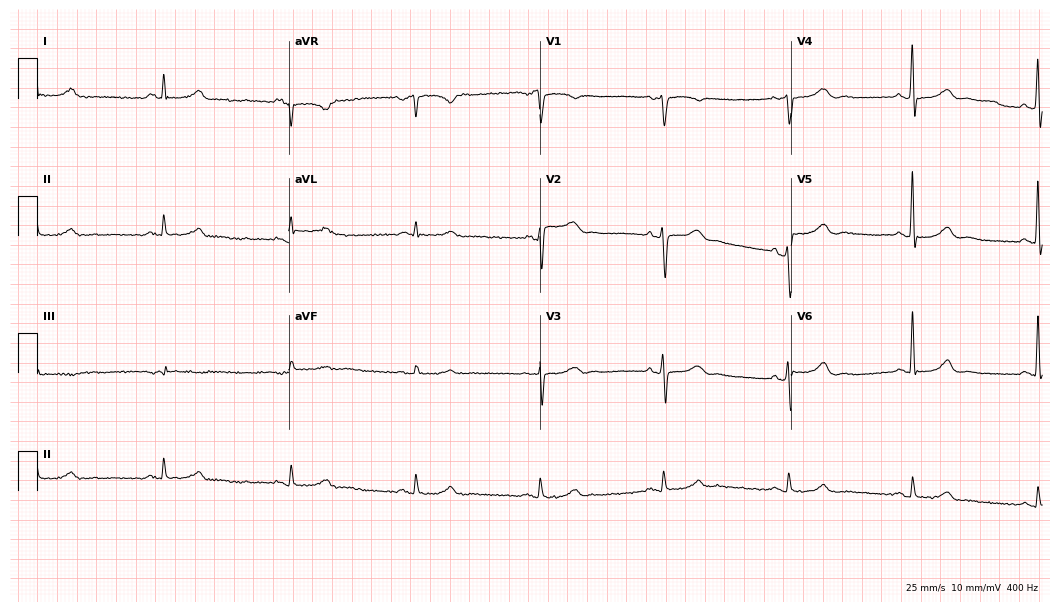
Standard 12-lead ECG recorded from a 61-year-old male (10.2-second recording at 400 Hz). None of these six findings is recorded: first-degree AV block, right bundle branch block (RBBB), left bundle branch block (LBBB), sinus bradycardia, atrial fibrillation (AF), sinus tachycardia. Findings outside these six are not listed.